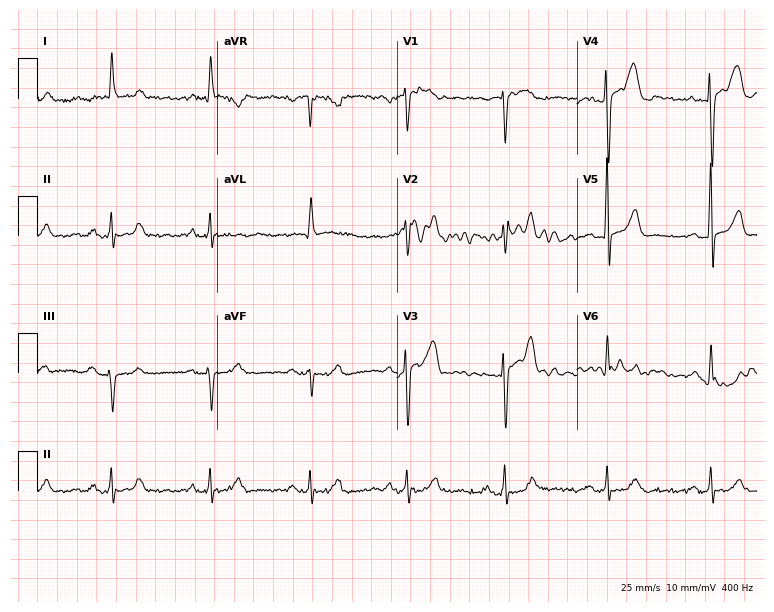
Standard 12-lead ECG recorded from a 60-year-old male (7.3-second recording at 400 Hz). None of these six findings is recorded: first-degree AV block, right bundle branch block, left bundle branch block, sinus bradycardia, atrial fibrillation, sinus tachycardia. Only these six findings were labelled.